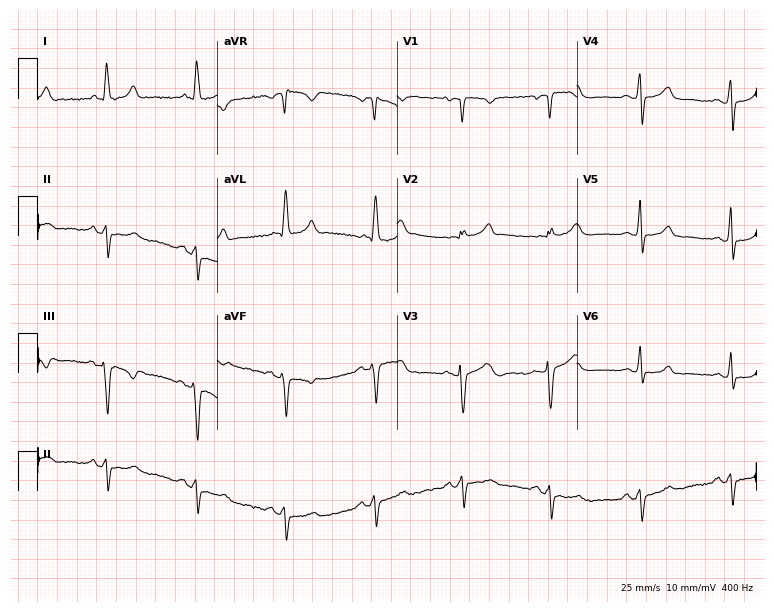
Standard 12-lead ECG recorded from a woman, 55 years old (7.3-second recording at 400 Hz). None of these six findings is recorded: first-degree AV block, right bundle branch block (RBBB), left bundle branch block (LBBB), sinus bradycardia, atrial fibrillation (AF), sinus tachycardia.